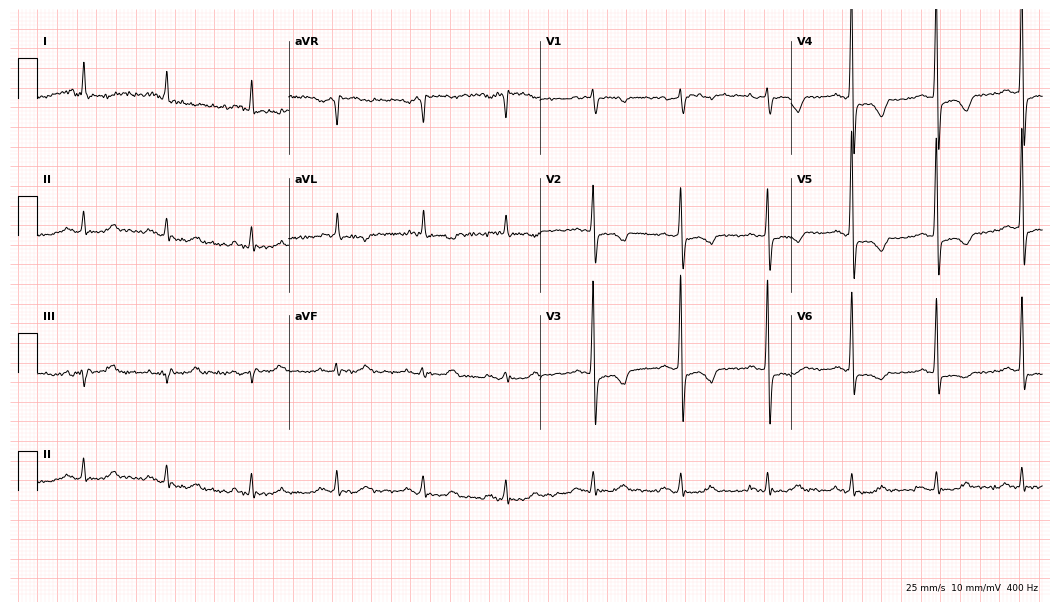
Standard 12-lead ECG recorded from a woman, 78 years old (10.2-second recording at 400 Hz). None of these six findings is recorded: first-degree AV block, right bundle branch block (RBBB), left bundle branch block (LBBB), sinus bradycardia, atrial fibrillation (AF), sinus tachycardia.